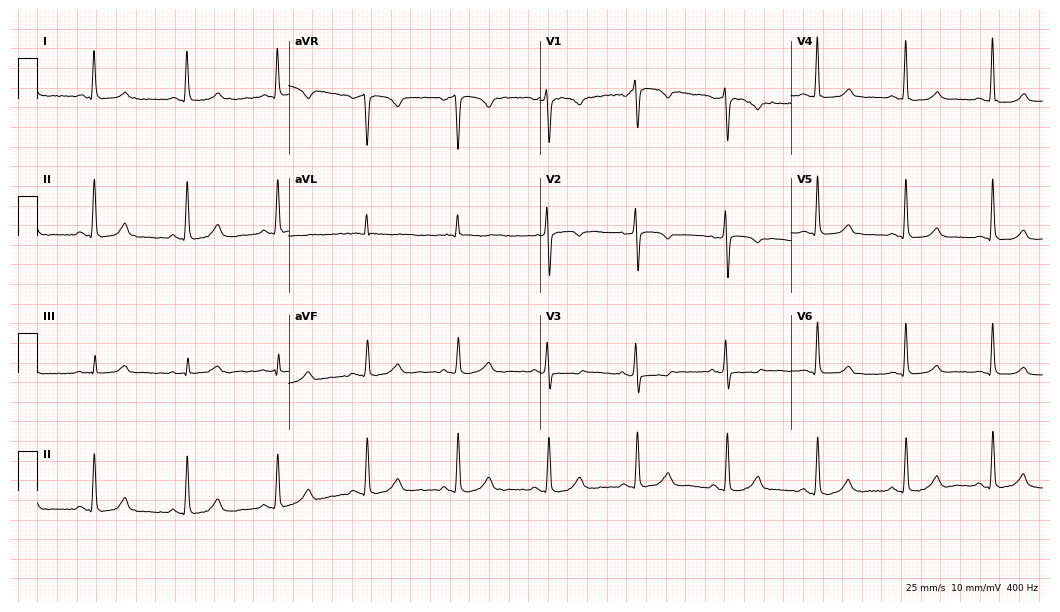
Resting 12-lead electrocardiogram. Patient: a female, 59 years old. None of these six findings is recorded: first-degree AV block, right bundle branch block, left bundle branch block, sinus bradycardia, atrial fibrillation, sinus tachycardia.